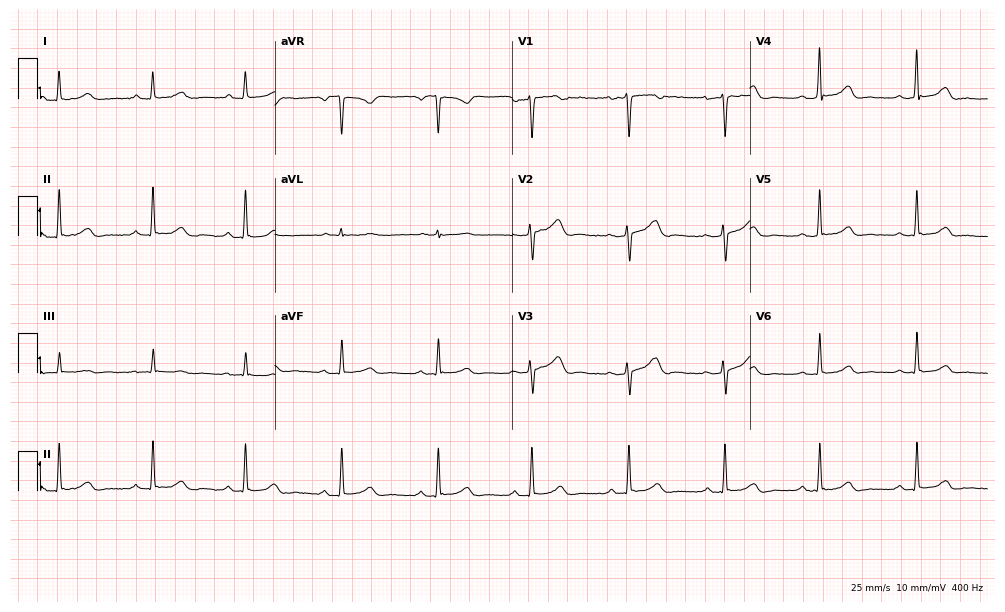
Resting 12-lead electrocardiogram (9.7-second recording at 400 Hz). Patient: a woman, 44 years old. Read as a normal ECG.